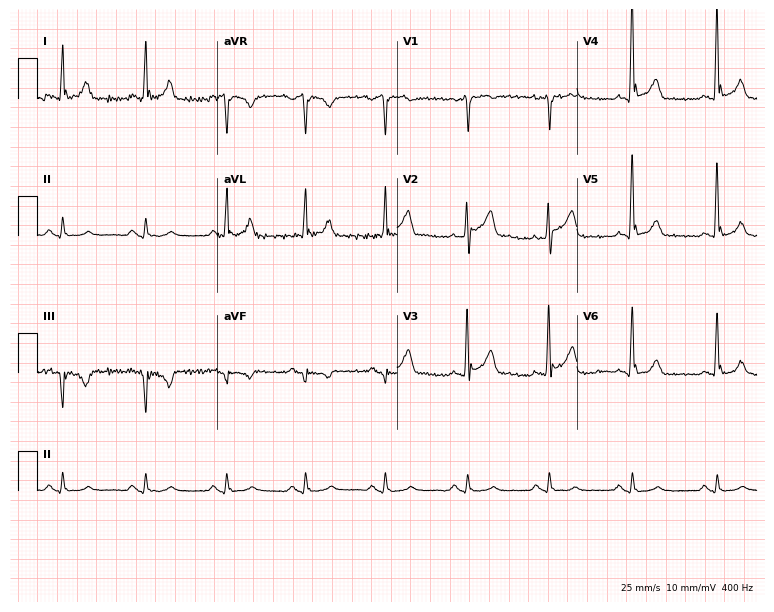
Standard 12-lead ECG recorded from a male, 68 years old (7.3-second recording at 400 Hz). Read as a normal ECG.